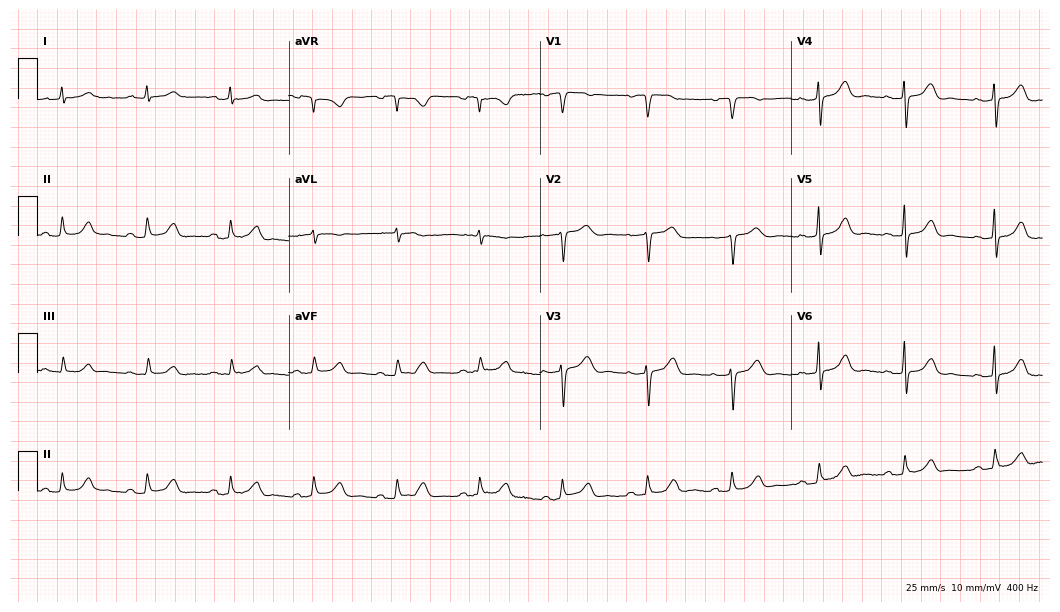
12-lead ECG from a woman, 69 years old. No first-degree AV block, right bundle branch block, left bundle branch block, sinus bradycardia, atrial fibrillation or sinus tachycardia recorded for this tracing.